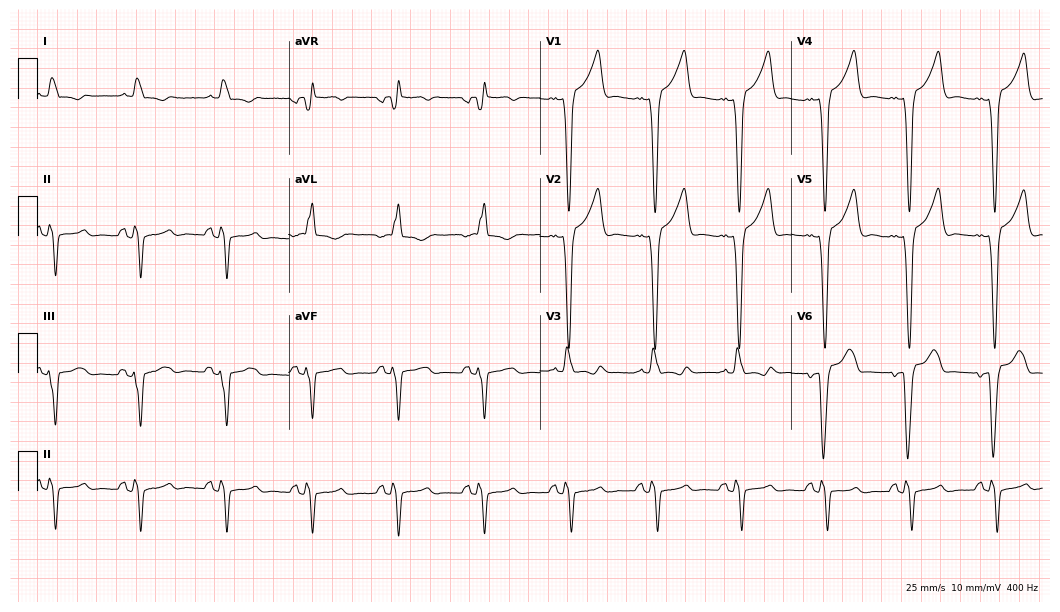
Resting 12-lead electrocardiogram (10.2-second recording at 400 Hz). Patient: a 73-year-old male. The tracing shows left bundle branch block.